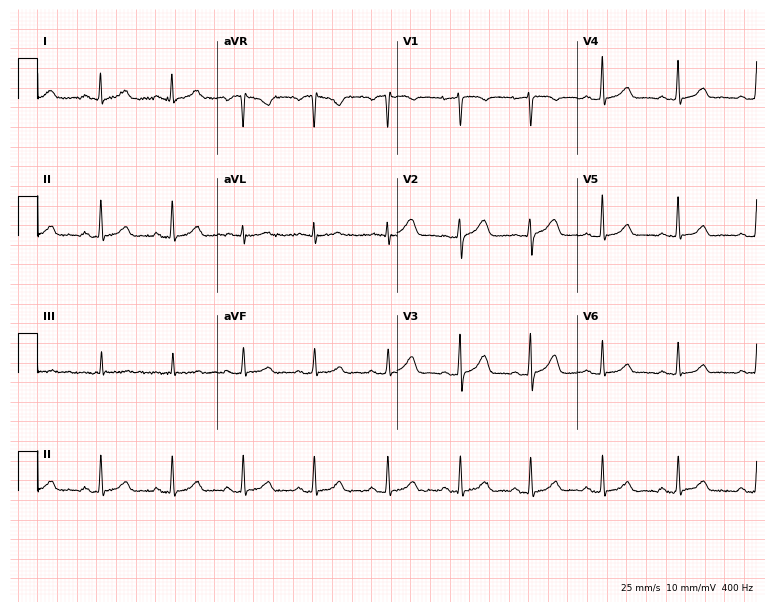
12-lead ECG from a 29-year-old female patient. No first-degree AV block, right bundle branch block, left bundle branch block, sinus bradycardia, atrial fibrillation or sinus tachycardia recorded for this tracing. Only these six findings were labelled.